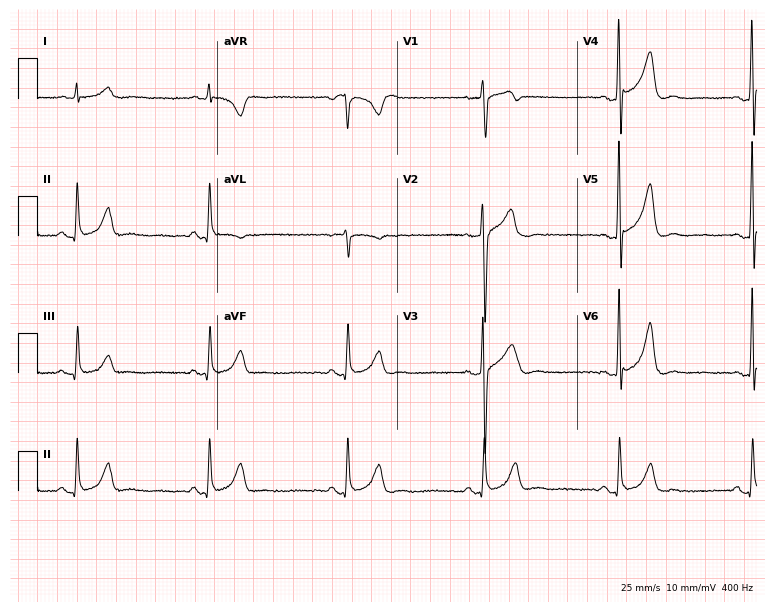
Standard 12-lead ECG recorded from a 37-year-old man (7.3-second recording at 400 Hz). None of these six findings is recorded: first-degree AV block, right bundle branch block, left bundle branch block, sinus bradycardia, atrial fibrillation, sinus tachycardia.